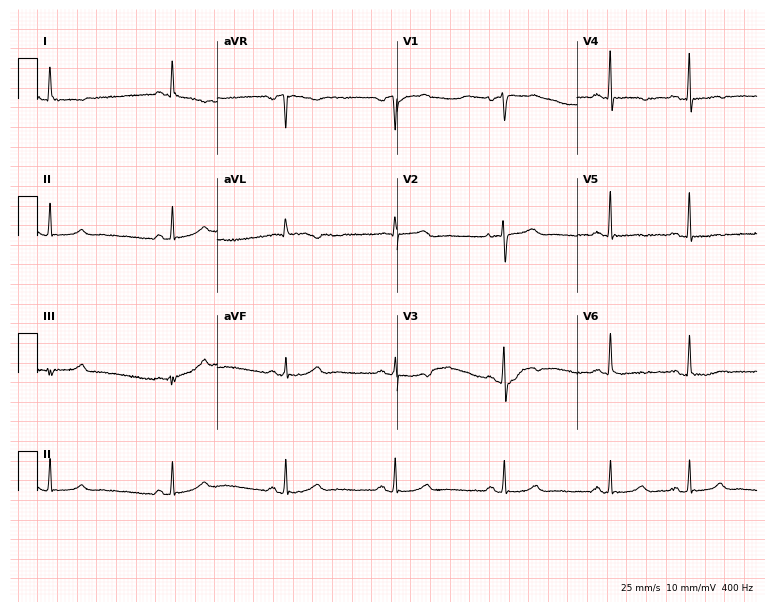
Resting 12-lead electrocardiogram (7.3-second recording at 400 Hz). Patient: a 69-year-old female. None of these six findings is recorded: first-degree AV block, right bundle branch block, left bundle branch block, sinus bradycardia, atrial fibrillation, sinus tachycardia. Only these six findings were labelled.